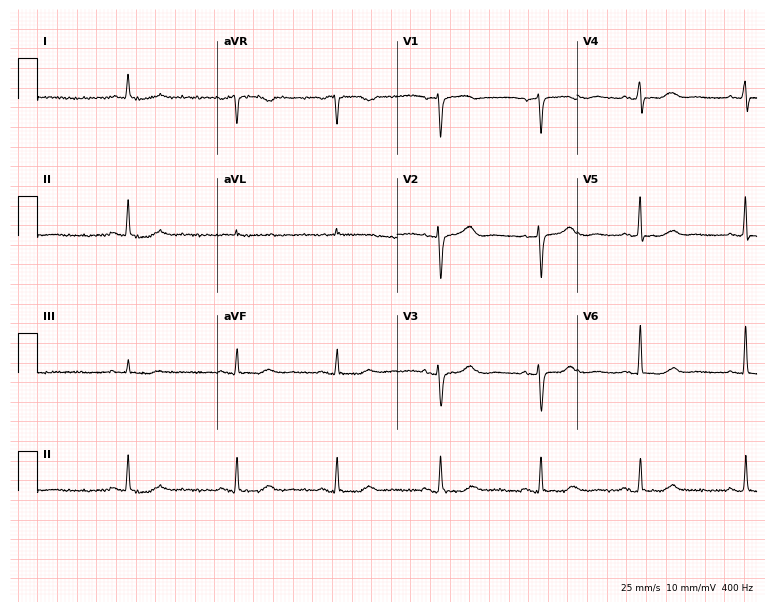
12-lead ECG from a 65-year-old woman. Recorded interpretation: within normal limits.